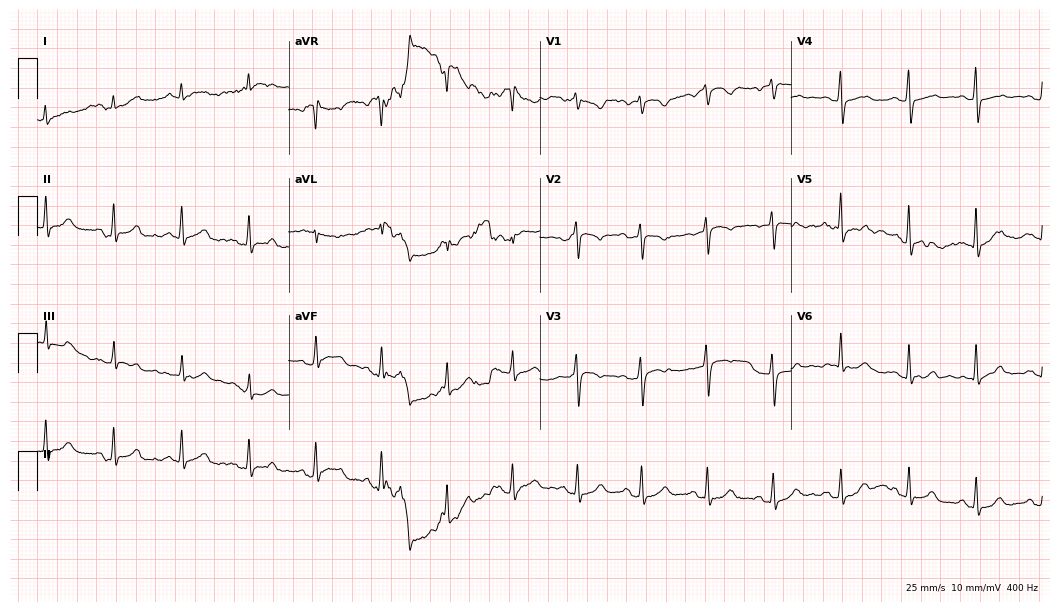
Electrocardiogram, a woman, 55 years old. Overall reading on record: normal ECG.